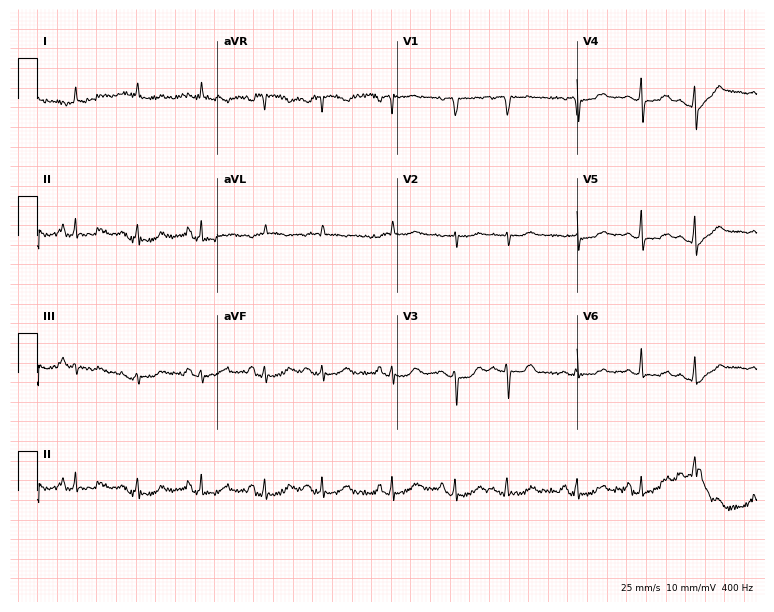
ECG (7.3-second recording at 400 Hz) — an 81-year-old female. Labelled as a normal ECG.